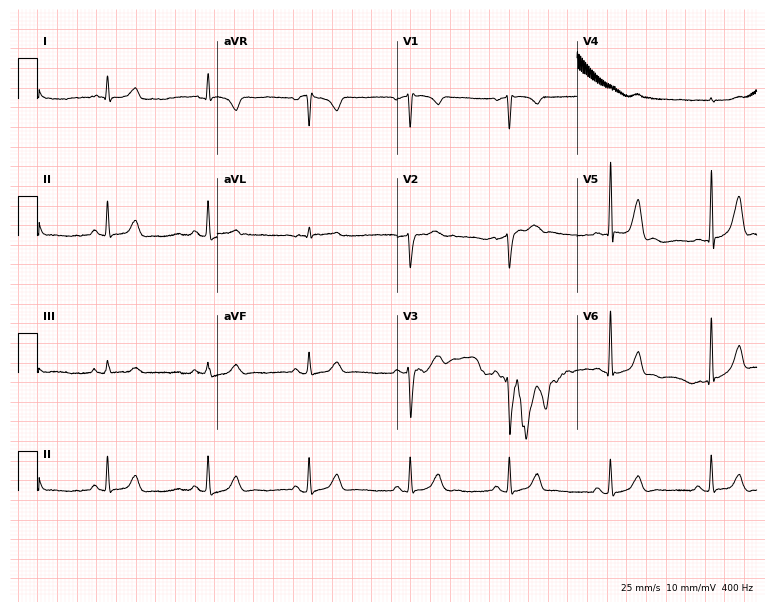
12-lead ECG from a male patient, 57 years old (7.3-second recording at 400 Hz). No first-degree AV block, right bundle branch block (RBBB), left bundle branch block (LBBB), sinus bradycardia, atrial fibrillation (AF) or sinus tachycardia recorded for this tracing.